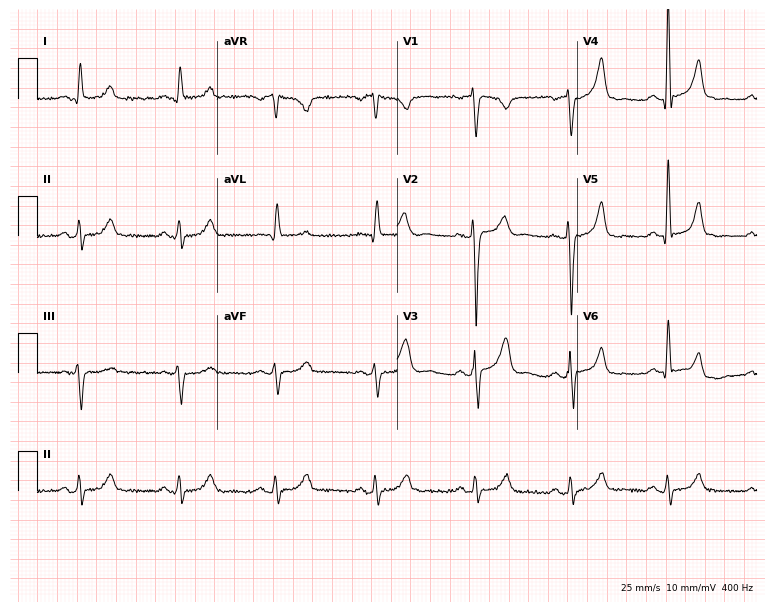
Resting 12-lead electrocardiogram (7.3-second recording at 400 Hz). Patient: a man, 52 years old. None of these six findings is recorded: first-degree AV block, right bundle branch block (RBBB), left bundle branch block (LBBB), sinus bradycardia, atrial fibrillation (AF), sinus tachycardia.